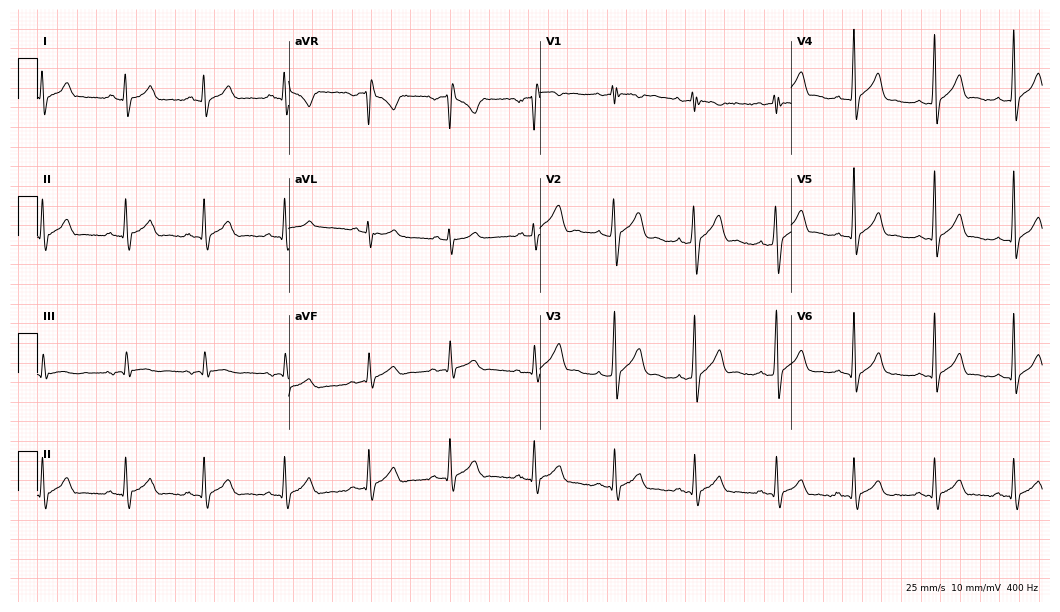
12-lead ECG from a 17-year-old male. Screened for six findings — first-degree AV block, right bundle branch block (RBBB), left bundle branch block (LBBB), sinus bradycardia, atrial fibrillation (AF), sinus tachycardia — none is recorded.